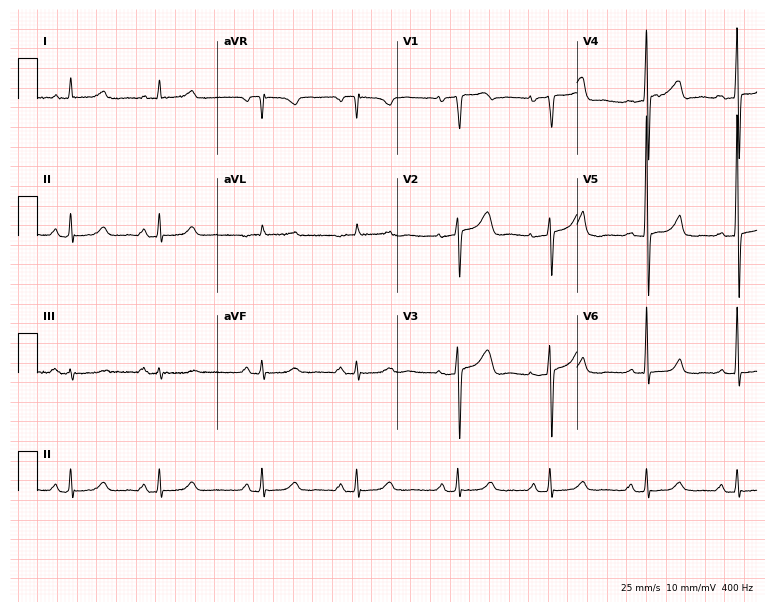
12-lead ECG from a 77-year-old female. No first-degree AV block, right bundle branch block, left bundle branch block, sinus bradycardia, atrial fibrillation or sinus tachycardia recorded for this tracing.